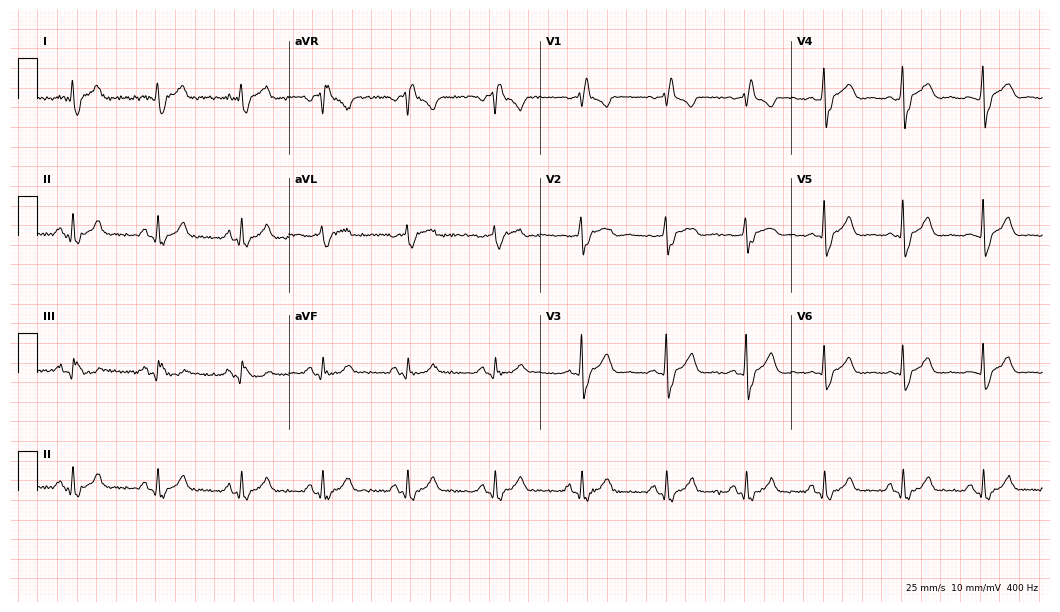
12-lead ECG (10.2-second recording at 400 Hz) from a female patient, 43 years old. Screened for six findings — first-degree AV block, right bundle branch block (RBBB), left bundle branch block (LBBB), sinus bradycardia, atrial fibrillation (AF), sinus tachycardia — none is recorded. Other findings, if any, are not listed.